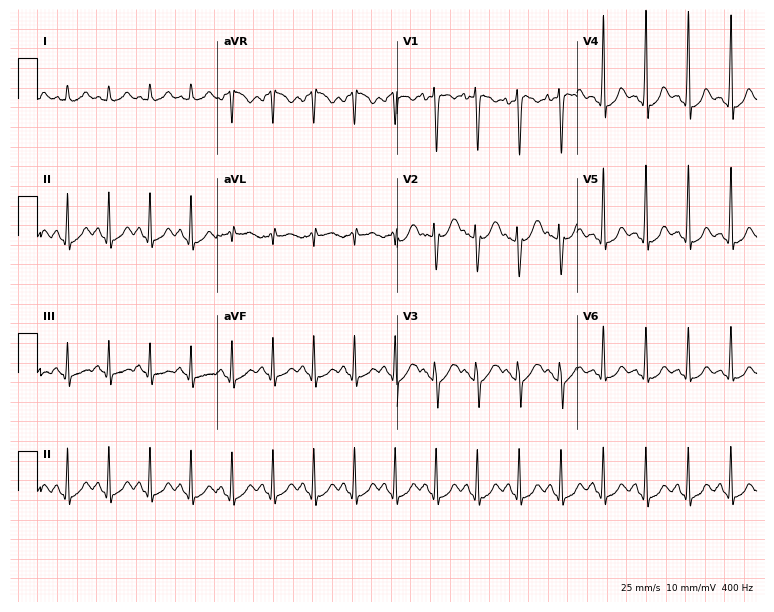
12-lead ECG from a 33-year-old female patient. Findings include sinus tachycardia (a sinus rate of 100 beats per minute or more).